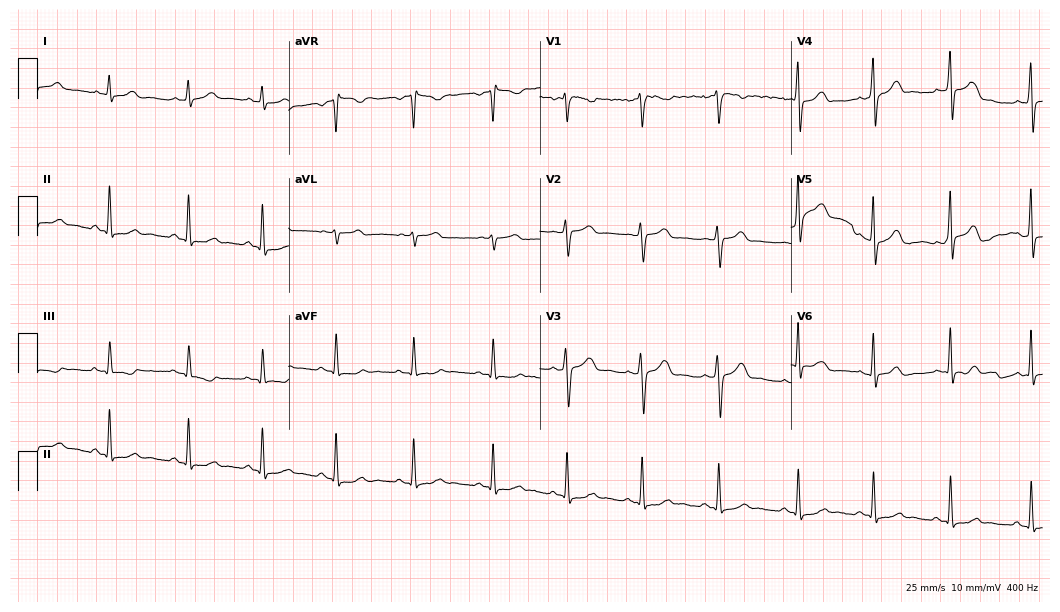
Standard 12-lead ECG recorded from a female patient, 35 years old (10.2-second recording at 400 Hz). Read as a normal ECG.